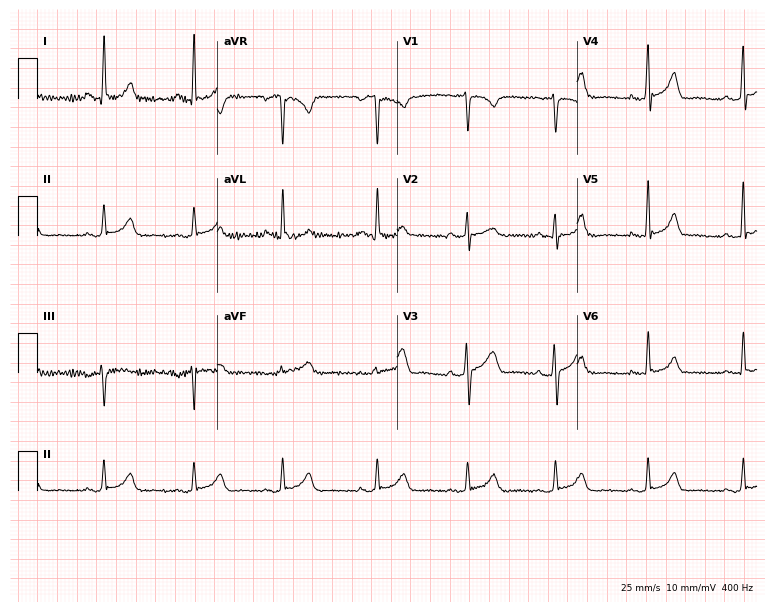
12-lead ECG from a 48-year-old female patient. Recorded interpretation: within normal limits.